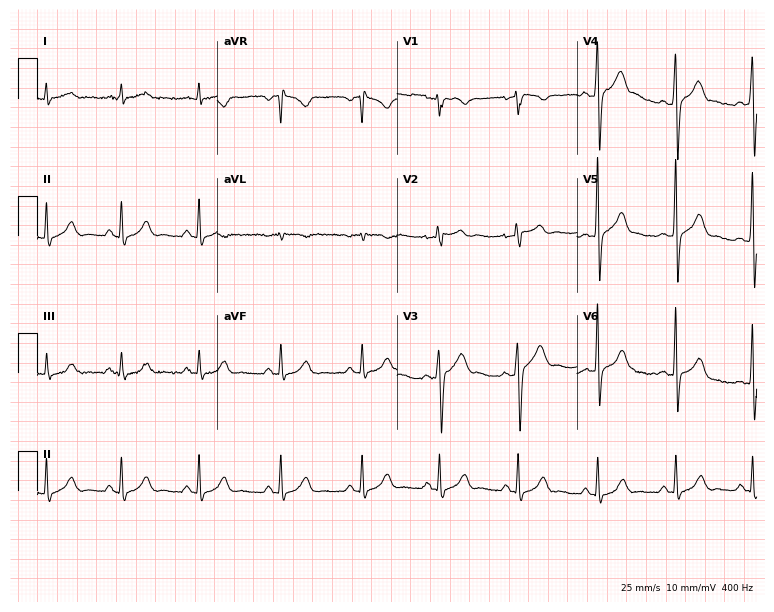
12-lead ECG from a 48-year-old male patient. Screened for six findings — first-degree AV block, right bundle branch block, left bundle branch block, sinus bradycardia, atrial fibrillation, sinus tachycardia — none is recorded. Findings outside these six are not listed.